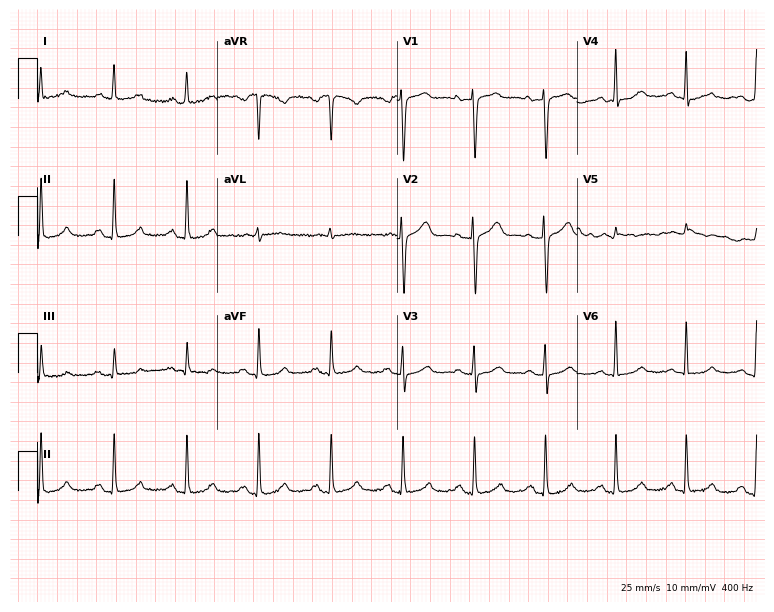
12-lead ECG from a 56-year-old woman. Recorded interpretation: within normal limits.